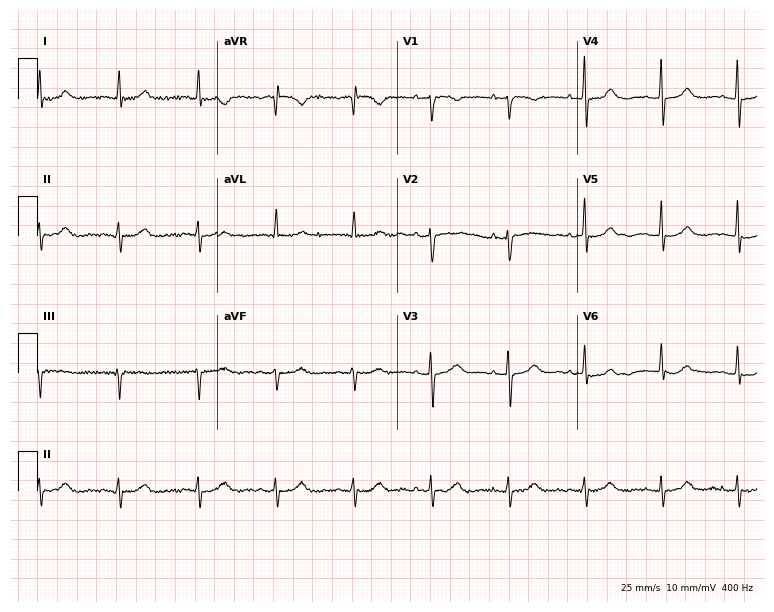
12-lead ECG from a woman, 76 years old (7.3-second recording at 400 Hz). Recorded interpretation: within normal limits.